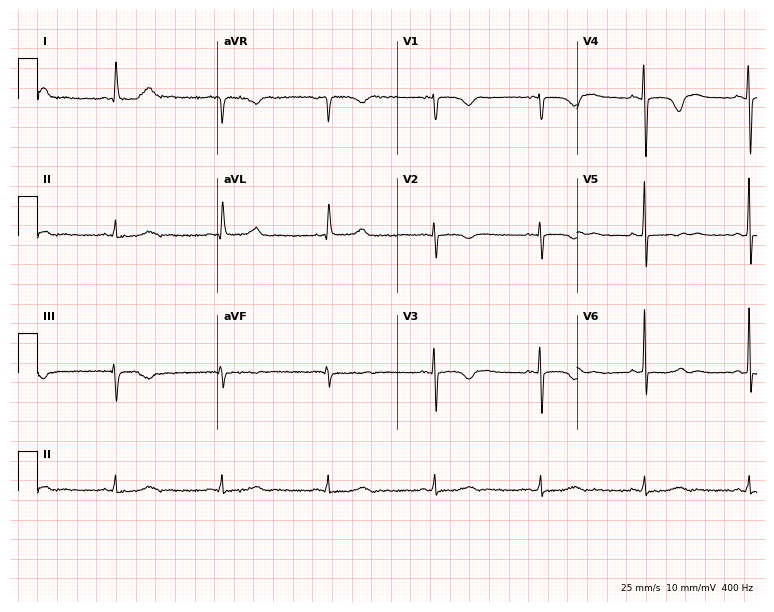
Resting 12-lead electrocardiogram. Patient: a 66-year-old female. None of these six findings is recorded: first-degree AV block, right bundle branch block, left bundle branch block, sinus bradycardia, atrial fibrillation, sinus tachycardia. Findings outside these six are not listed.